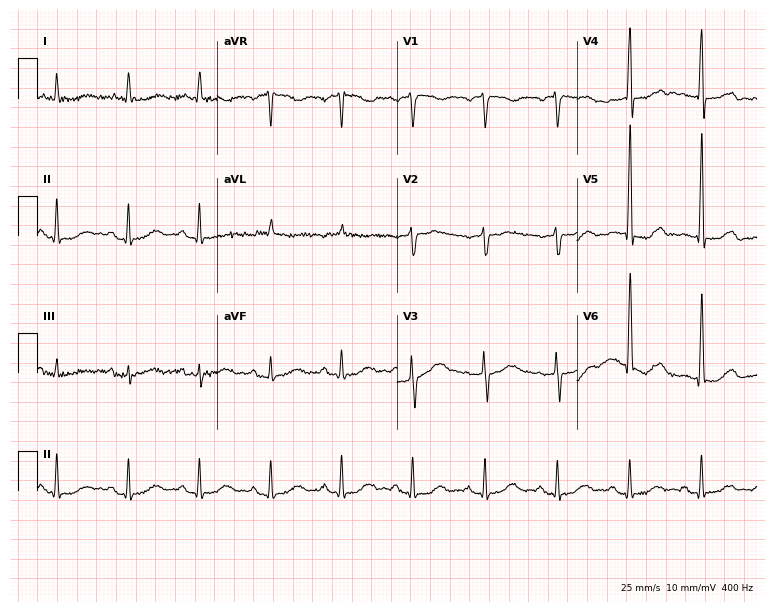
12-lead ECG (7.3-second recording at 400 Hz) from a 71-year-old male. Screened for six findings — first-degree AV block, right bundle branch block, left bundle branch block, sinus bradycardia, atrial fibrillation, sinus tachycardia — none is recorded. Findings outside these six are not listed.